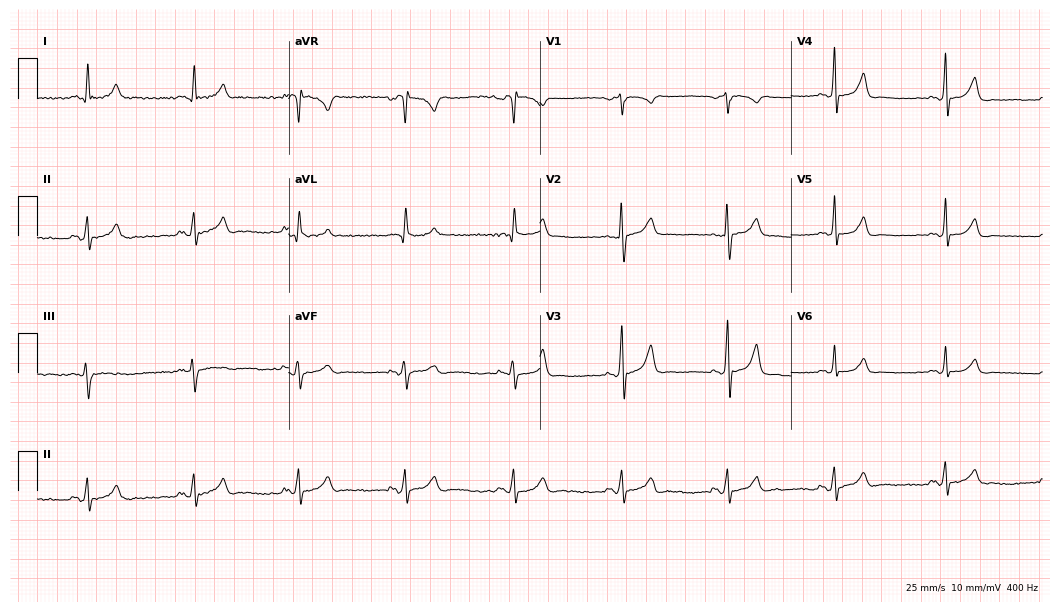
12-lead ECG from a 42-year-old male. Recorded interpretation: within normal limits.